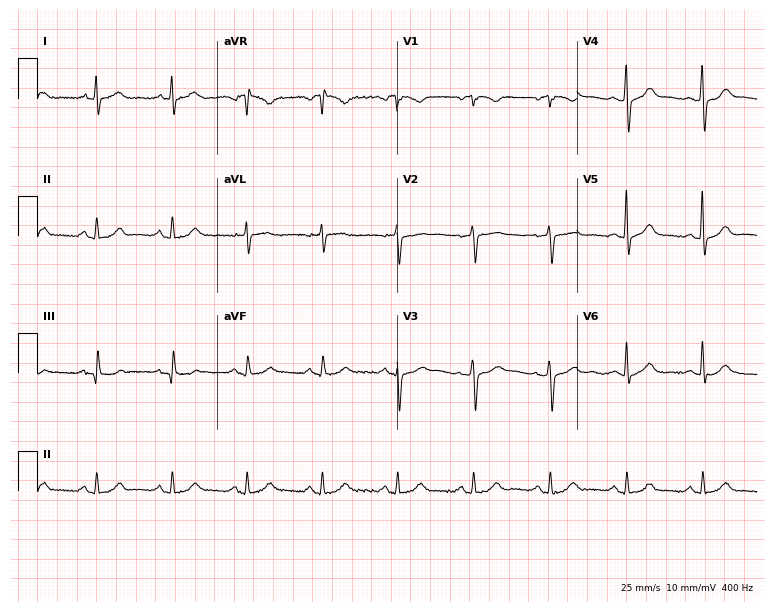
Resting 12-lead electrocardiogram (7.3-second recording at 400 Hz). Patient: a 75-year-old man. Read as a normal ECG.